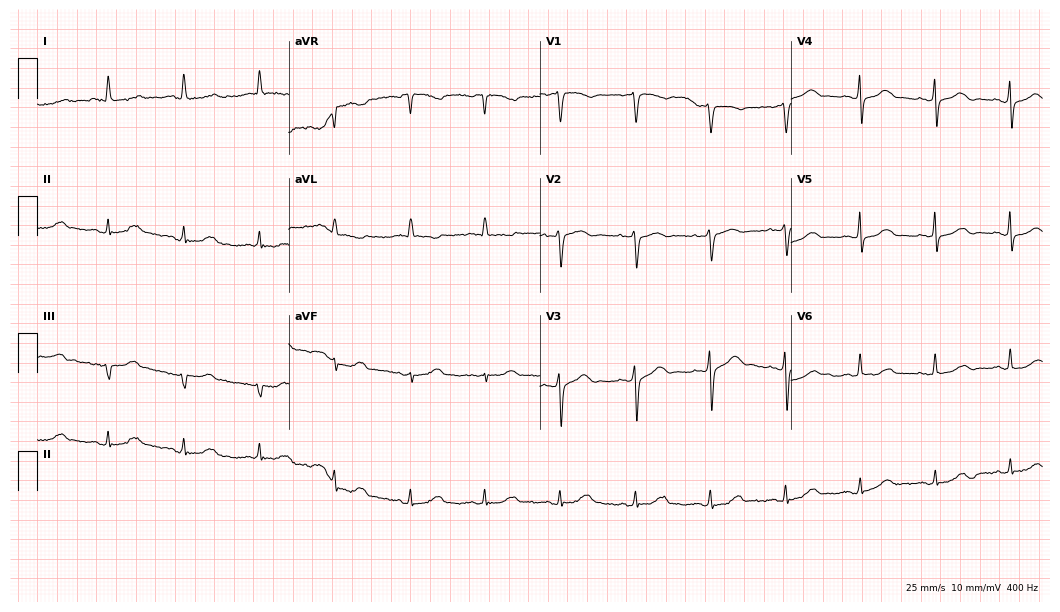
12-lead ECG from a 78-year-old female (10.2-second recording at 400 Hz). No first-degree AV block, right bundle branch block (RBBB), left bundle branch block (LBBB), sinus bradycardia, atrial fibrillation (AF) or sinus tachycardia recorded for this tracing.